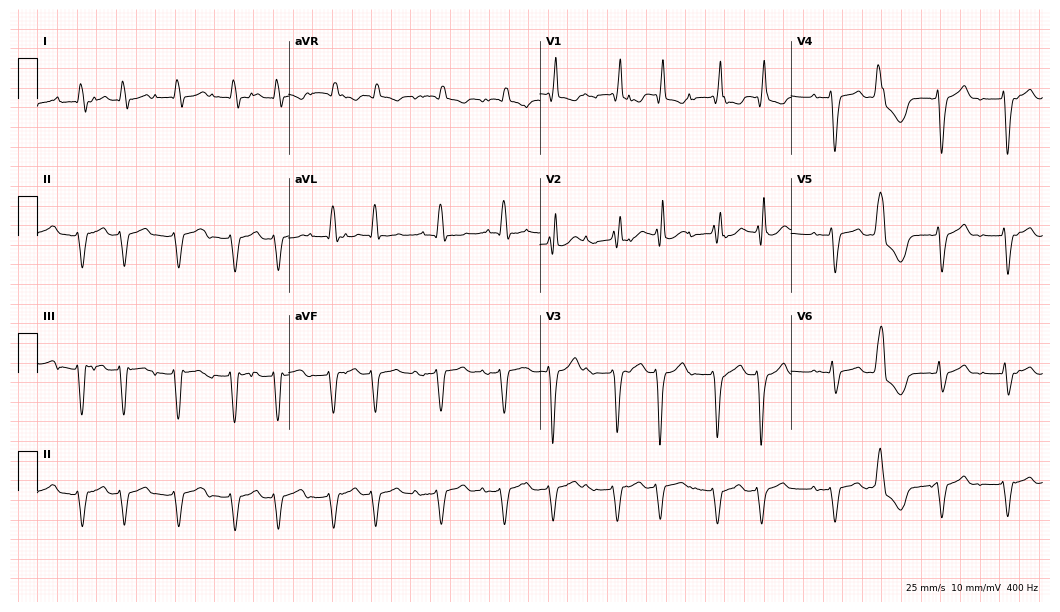
Resting 12-lead electrocardiogram. Patient: an 82-year-old male. The tracing shows right bundle branch block, atrial fibrillation, sinus tachycardia (a sinus rate of 100 beats per minute or more).